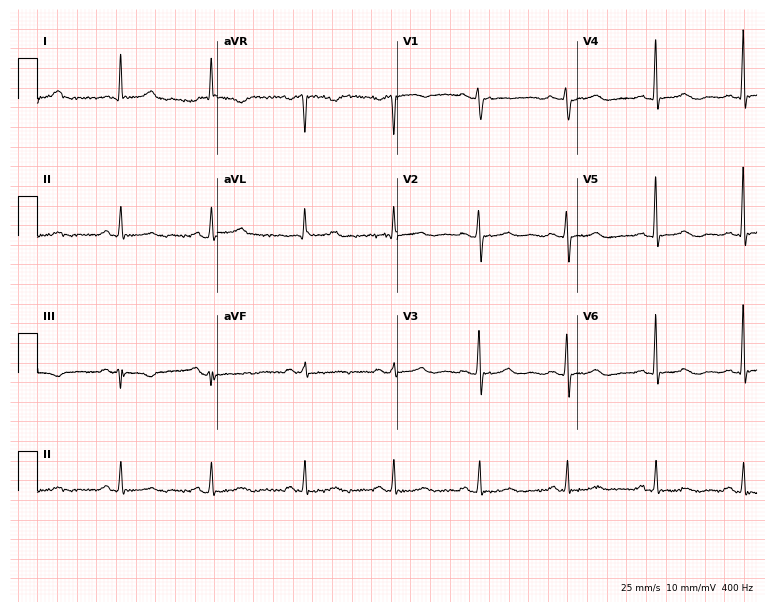
12-lead ECG from a female, 74 years old. Recorded interpretation: within normal limits.